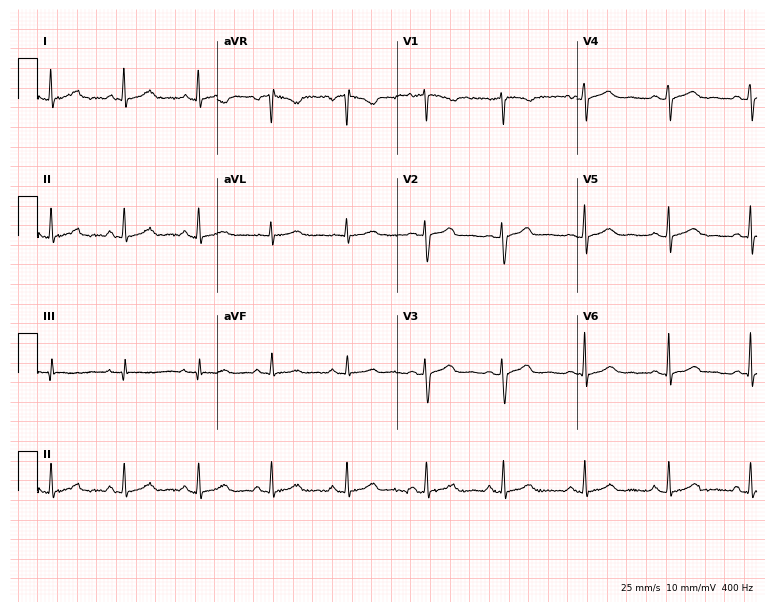
Electrocardiogram, a 29-year-old female. Overall reading on record: normal ECG.